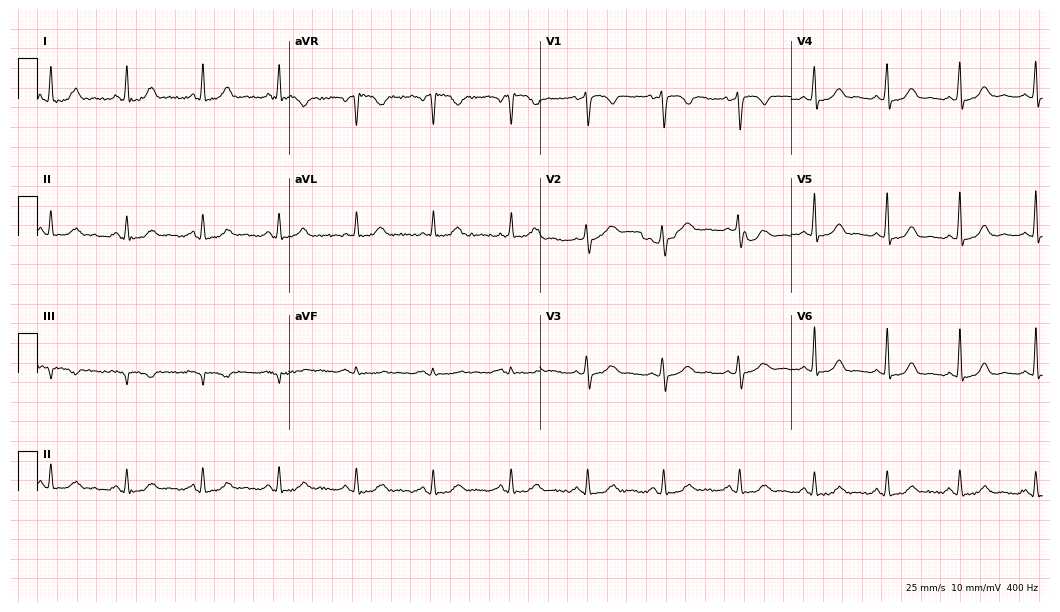
Standard 12-lead ECG recorded from a female, 45 years old. Read as a normal ECG.